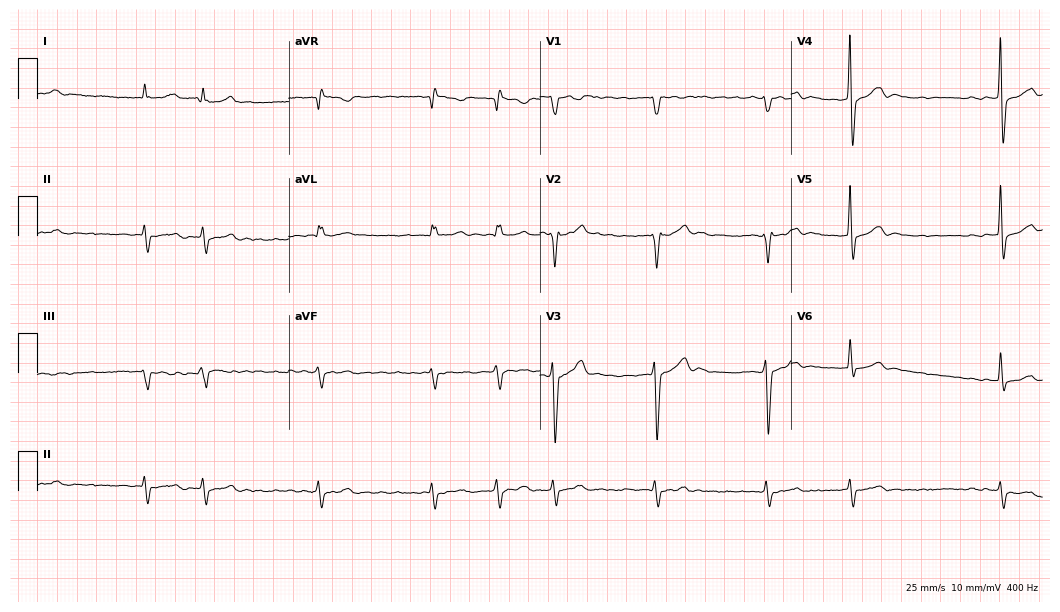
Standard 12-lead ECG recorded from a 78-year-old male patient (10.2-second recording at 400 Hz). None of these six findings is recorded: first-degree AV block, right bundle branch block, left bundle branch block, sinus bradycardia, atrial fibrillation, sinus tachycardia. Findings outside these six are not listed.